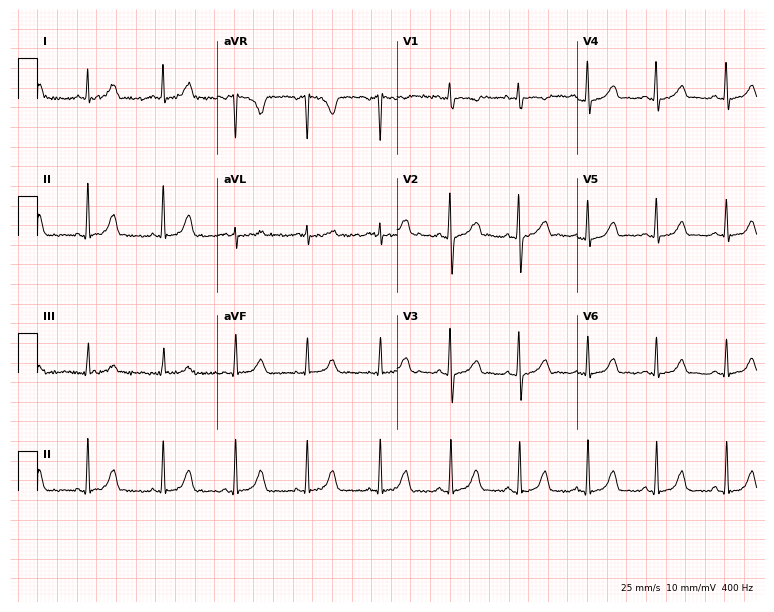
ECG — a 28-year-old woman. Screened for six findings — first-degree AV block, right bundle branch block (RBBB), left bundle branch block (LBBB), sinus bradycardia, atrial fibrillation (AF), sinus tachycardia — none is recorded. Findings outside these six are not listed.